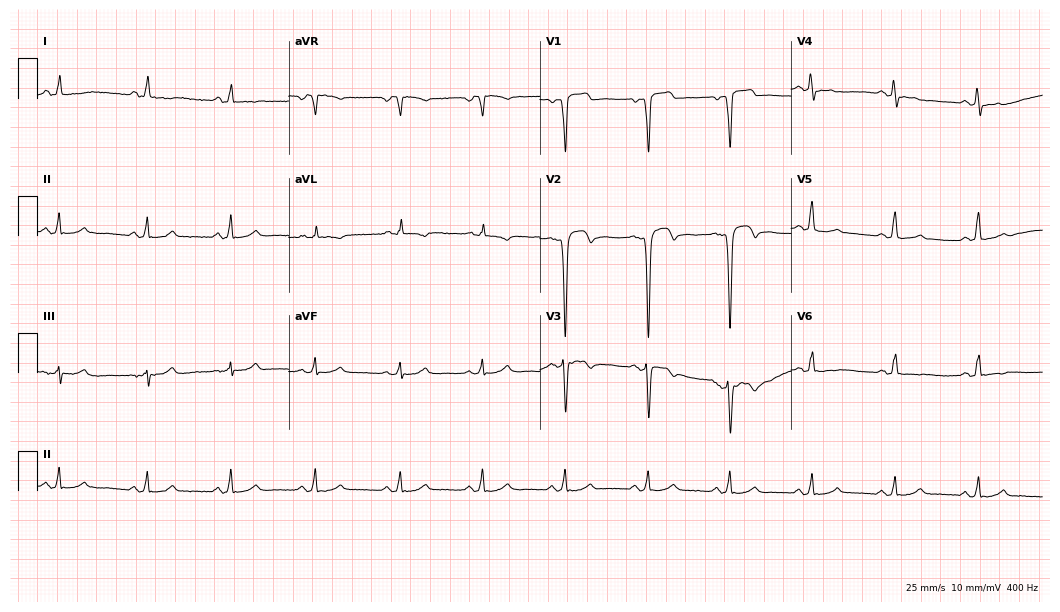
ECG — a 50-year-old male patient. Screened for six findings — first-degree AV block, right bundle branch block (RBBB), left bundle branch block (LBBB), sinus bradycardia, atrial fibrillation (AF), sinus tachycardia — none is recorded.